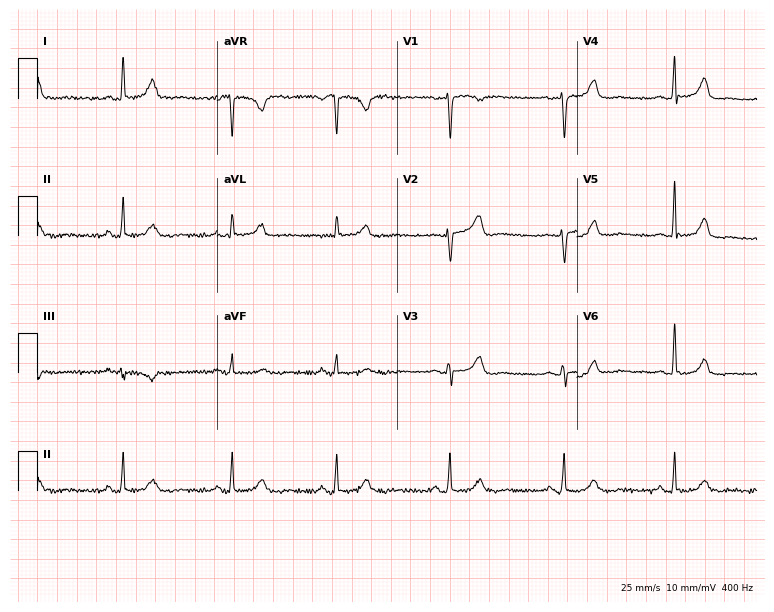
Resting 12-lead electrocardiogram (7.3-second recording at 400 Hz). Patient: a 46-year-old female. None of these six findings is recorded: first-degree AV block, right bundle branch block, left bundle branch block, sinus bradycardia, atrial fibrillation, sinus tachycardia.